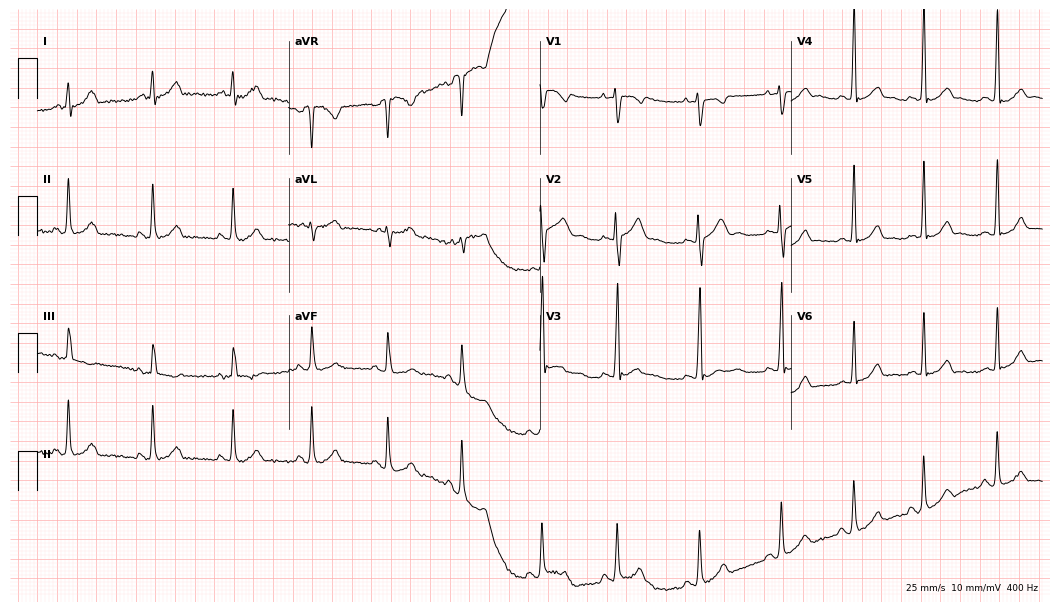
12-lead ECG (10.2-second recording at 400 Hz) from an 18-year-old man. Labelled as a normal ECG.